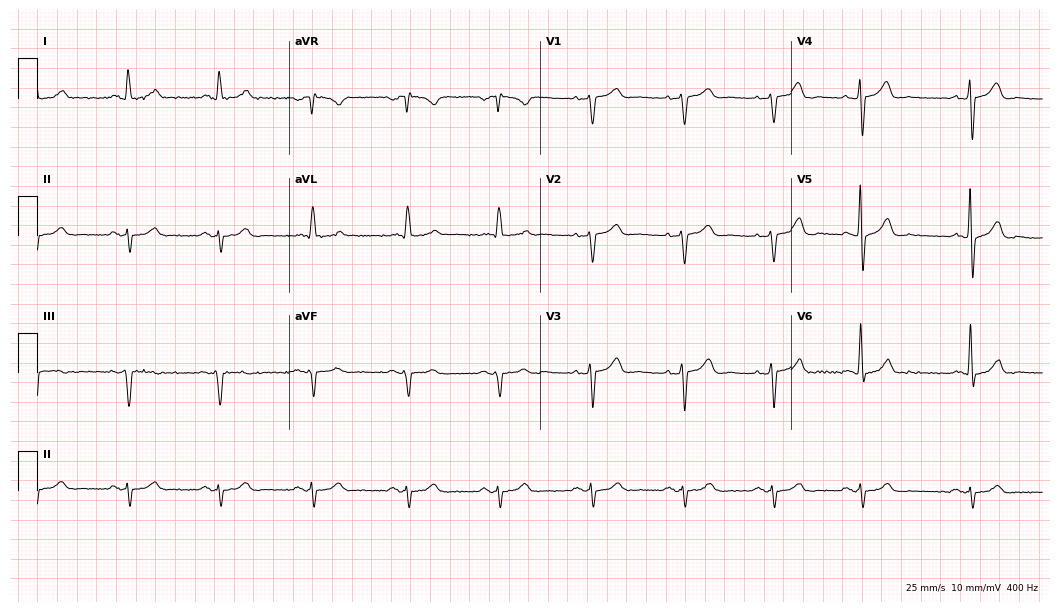
12-lead ECG from an 82-year-old male patient. Screened for six findings — first-degree AV block, right bundle branch block, left bundle branch block, sinus bradycardia, atrial fibrillation, sinus tachycardia — none is recorded.